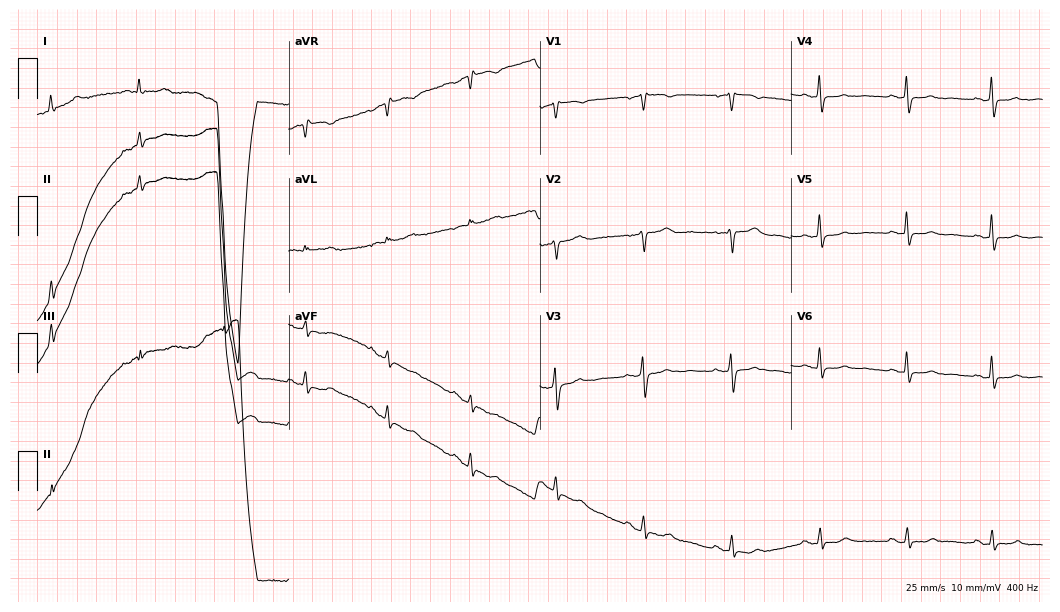
Electrocardiogram (10.2-second recording at 400 Hz), a woman, 53 years old. Overall reading on record: normal ECG.